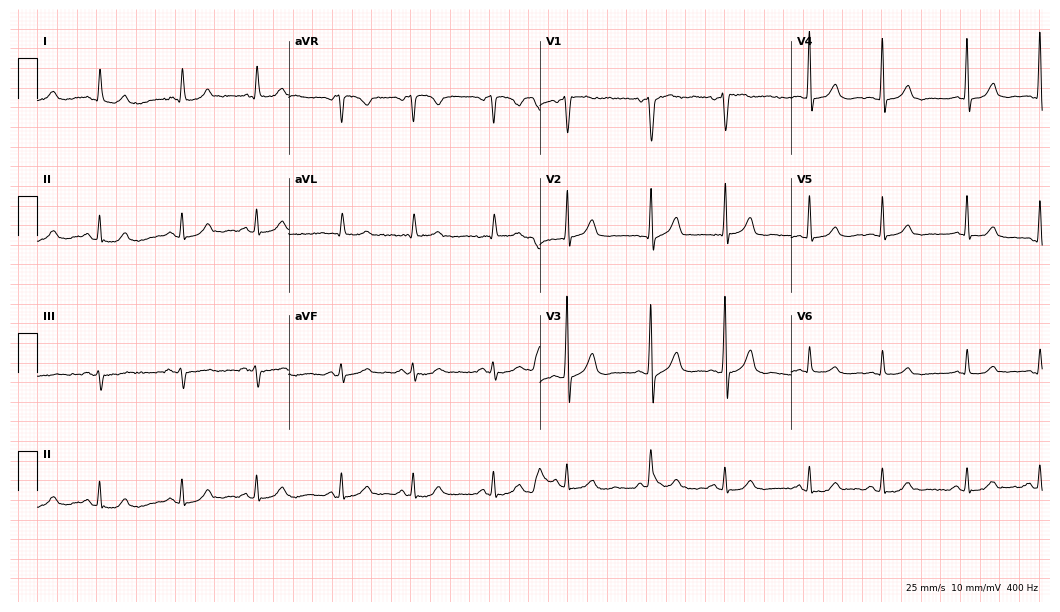
ECG (10.2-second recording at 400 Hz) — an 81-year-old male. Labelled as a normal ECG.